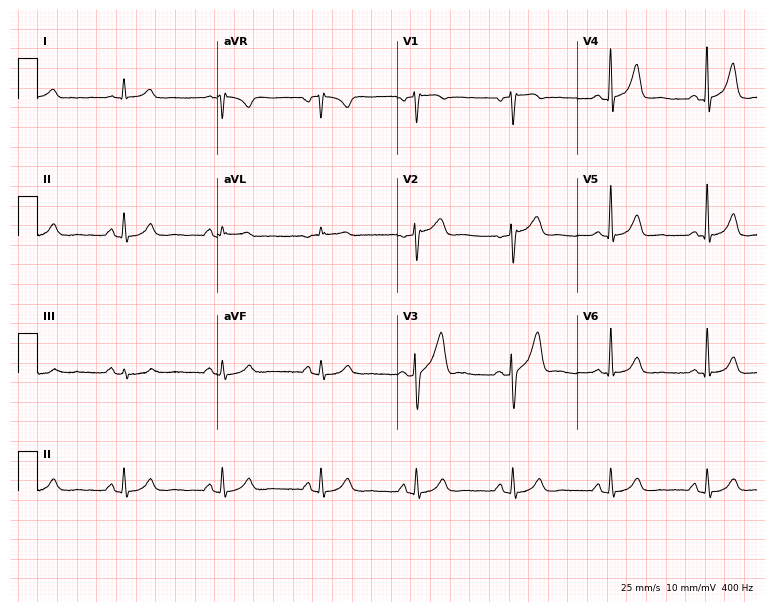
ECG — a 46-year-old man. Labelled as a normal ECG.